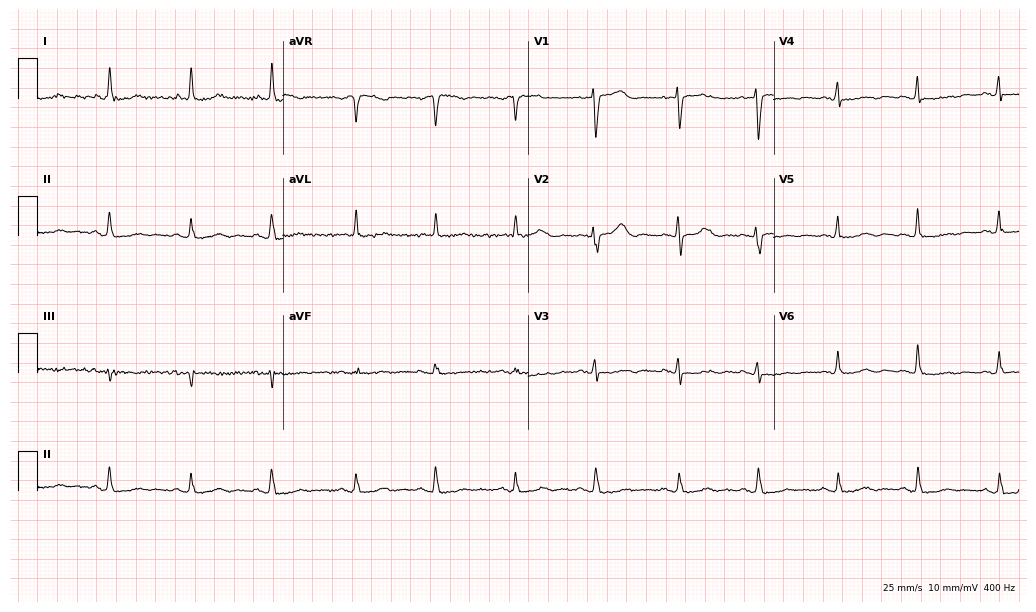
Standard 12-lead ECG recorded from an 81-year-old female patient (10-second recording at 400 Hz). None of these six findings is recorded: first-degree AV block, right bundle branch block, left bundle branch block, sinus bradycardia, atrial fibrillation, sinus tachycardia.